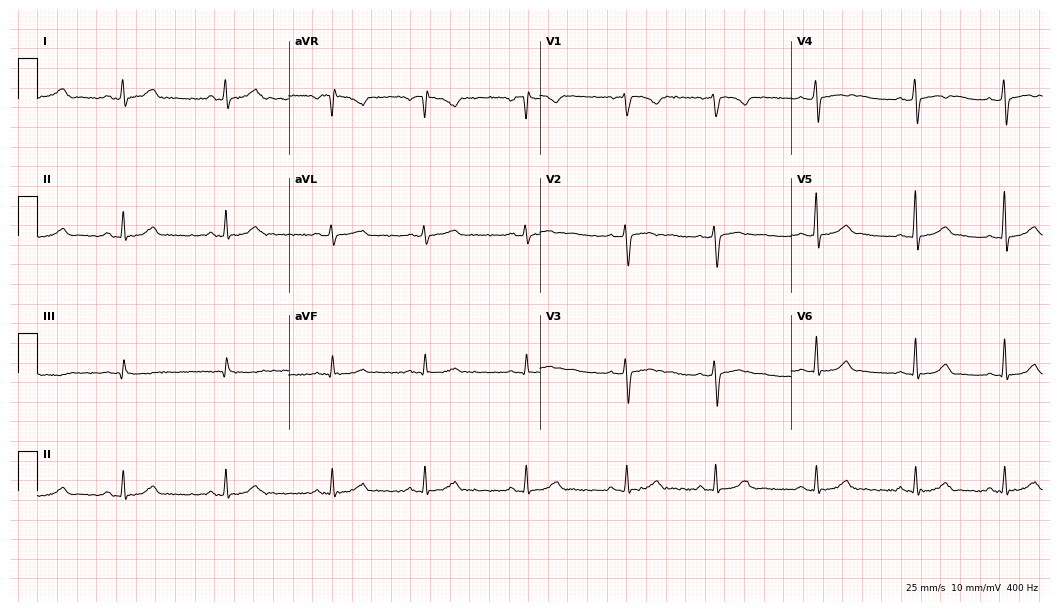
Electrocardiogram (10.2-second recording at 400 Hz), a 23-year-old woman. Overall reading on record: normal ECG.